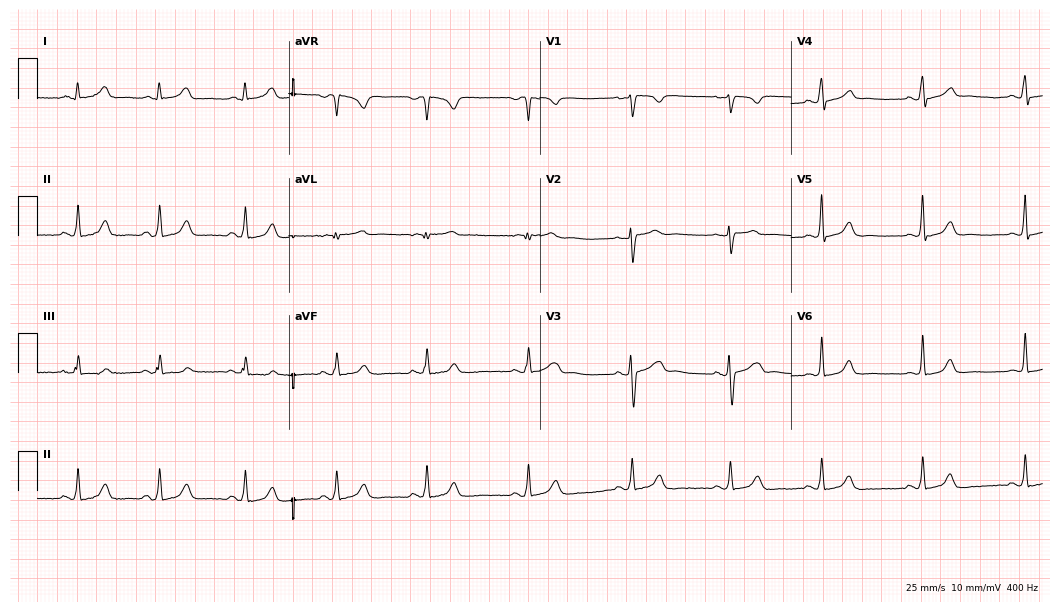
Resting 12-lead electrocardiogram. Patient: a female, 35 years old. None of these six findings is recorded: first-degree AV block, right bundle branch block, left bundle branch block, sinus bradycardia, atrial fibrillation, sinus tachycardia. Only these six findings were labelled.